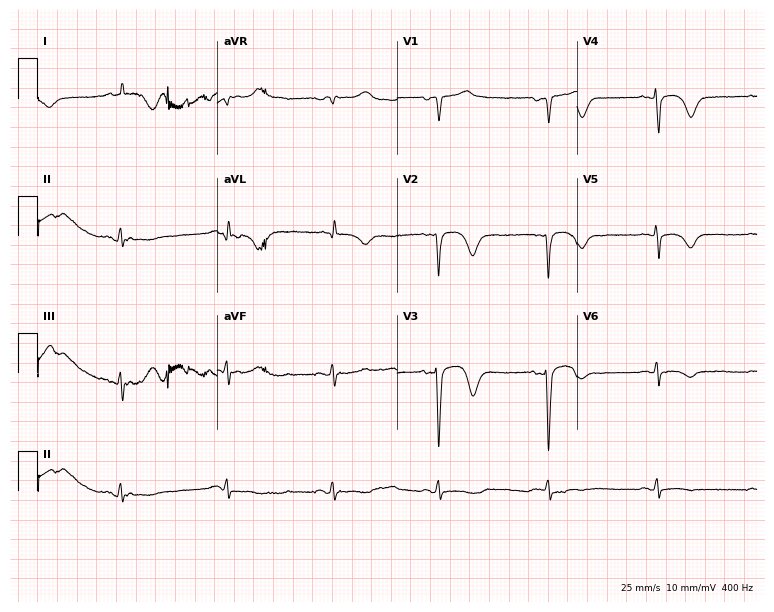
12-lead ECG from a 71-year-old male. Screened for six findings — first-degree AV block, right bundle branch block, left bundle branch block, sinus bradycardia, atrial fibrillation, sinus tachycardia — none is recorded.